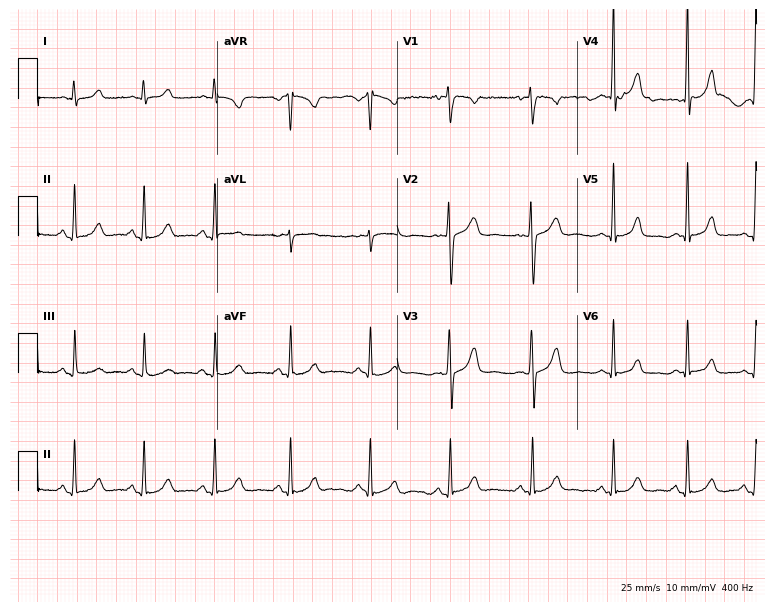
Electrocardiogram (7.3-second recording at 400 Hz), a 17-year-old female patient. Overall reading on record: normal ECG.